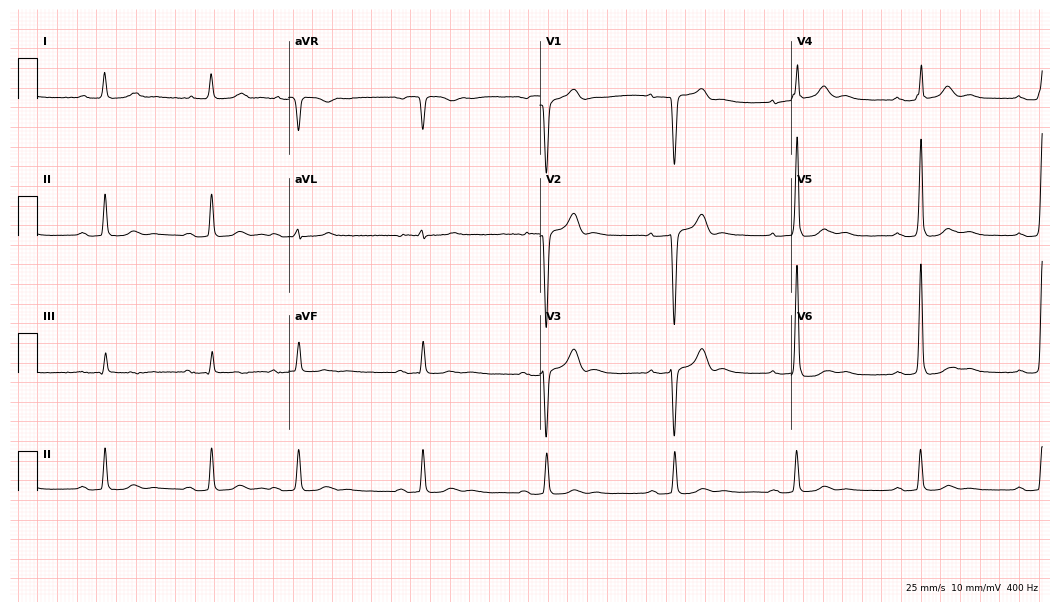
Electrocardiogram, a 74-year-old man. Of the six screened findings (first-degree AV block, right bundle branch block (RBBB), left bundle branch block (LBBB), sinus bradycardia, atrial fibrillation (AF), sinus tachycardia), none is recorded.